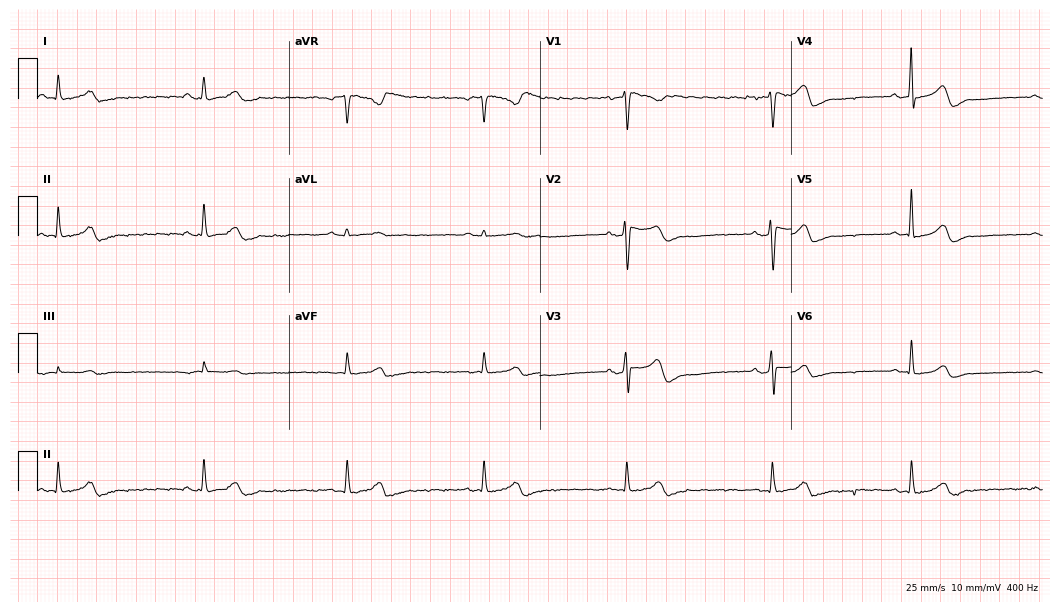
12-lead ECG from a 59-year-old female patient. No first-degree AV block, right bundle branch block, left bundle branch block, sinus bradycardia, atrial fibrillation or sinus tachycardia recorded for this tracing.